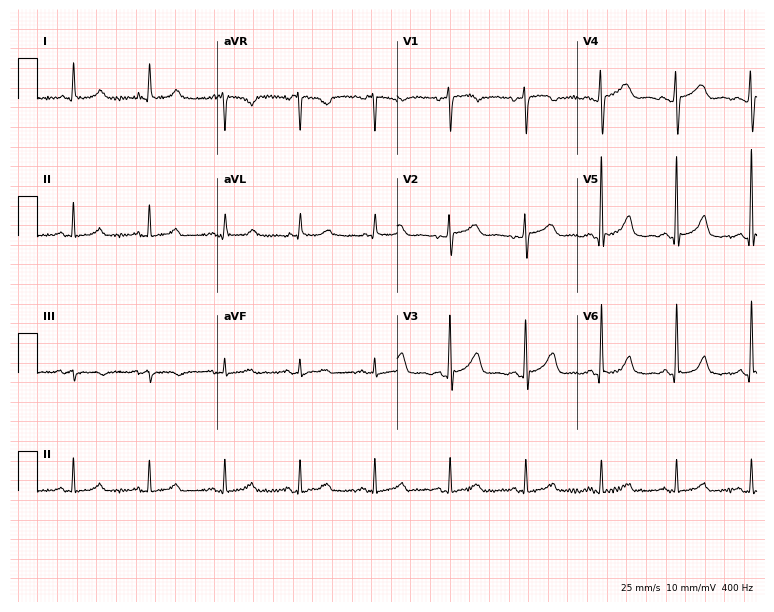
ECG (7.3-second recording at 400 Hz) — a female, 53 years old. Labelled as a normal ECG.